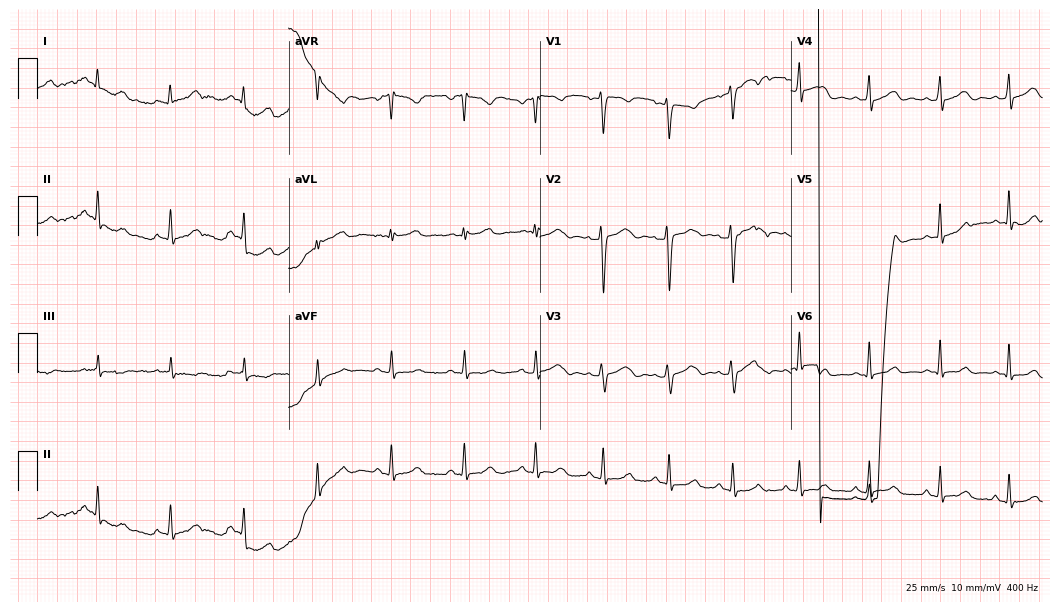
12-lead ECG from a 26-year-old female (10.2-second recording at 400 Hz). No first-degree AV block, right bundle branch block, left bundle branch block, sinus bradycardia, atrial fibrillation or sinus tachycardia recorded for this tracing. Only these six findings were labelled.